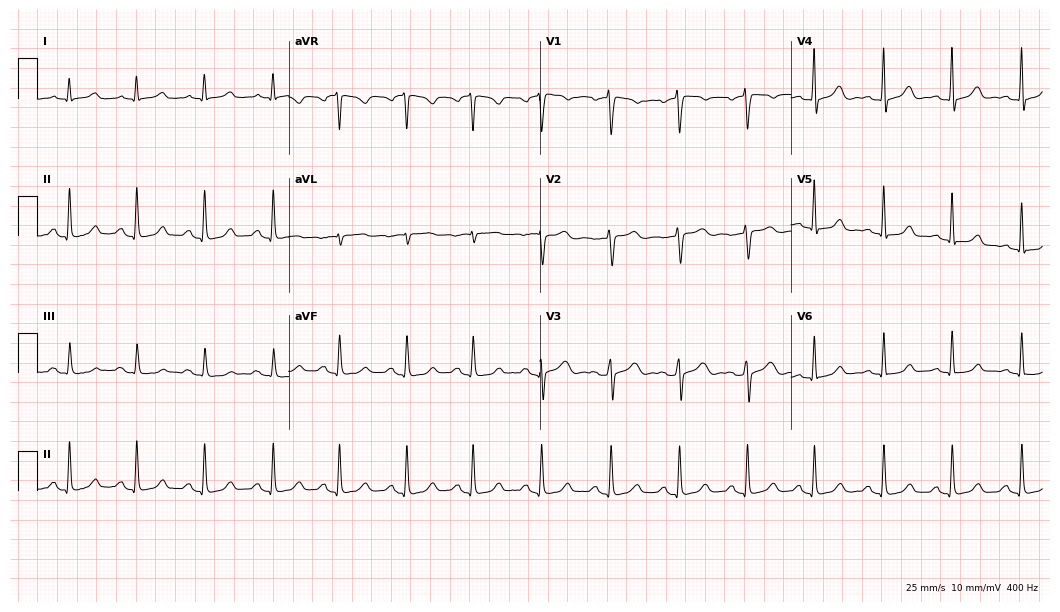
12-lead ECG from a 52-year-old female patient. Labelled as a normal ECG.